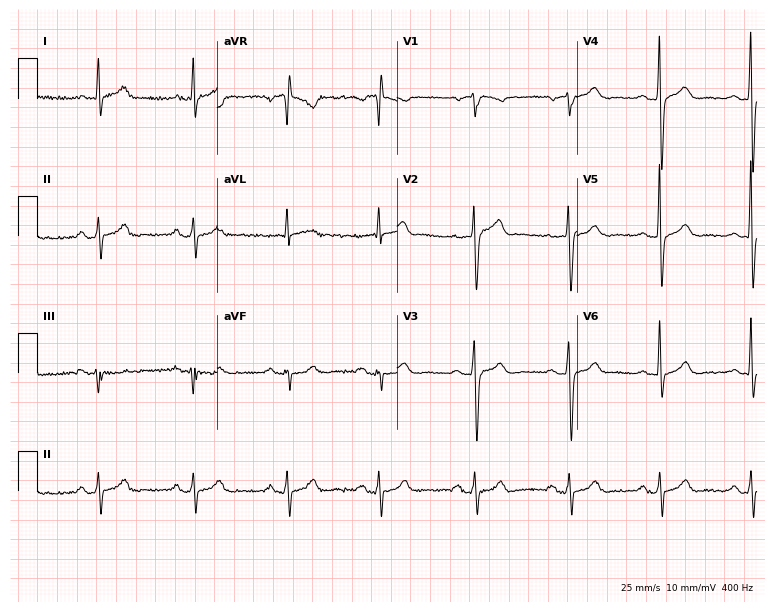
Standard 12-lead ECG recorded from a 52-year-old male patient (7.3-second recording at 400 Hz). None of these six findings is recorded: first-degree AV block, right bundle branch block (RBBB), left bundle branch block (LBBB), sinus bradycardia, atrial fibrillation (AF), sinus tachycardia. Findings outside these six are not listed.